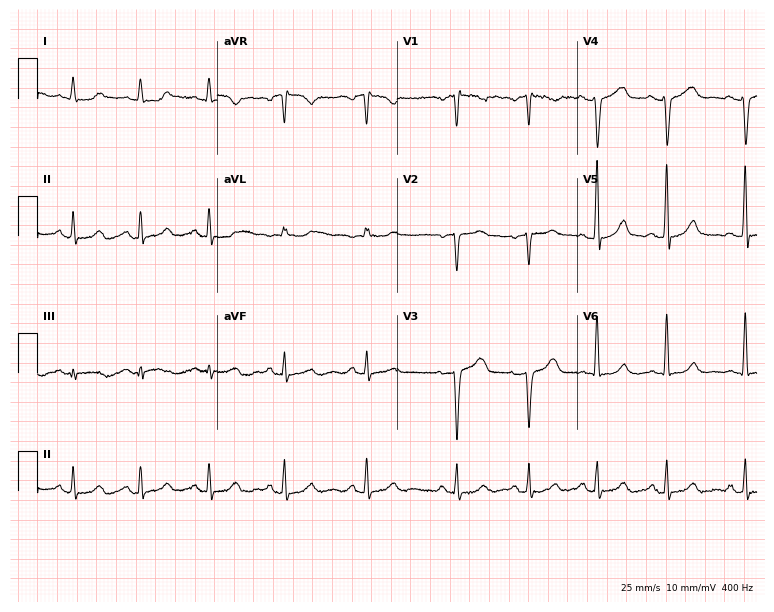
Electrocardiogram (7.3-second recording at 400 Hz), a 41-year-old female patient. Of the six screened findings (first-degree AV block, right bundle branch block (RBBB), left bundle branch block (LBBB), sinus bradycardia, atrial fibrillation (AF), sinus tachycardia), none is recorded.